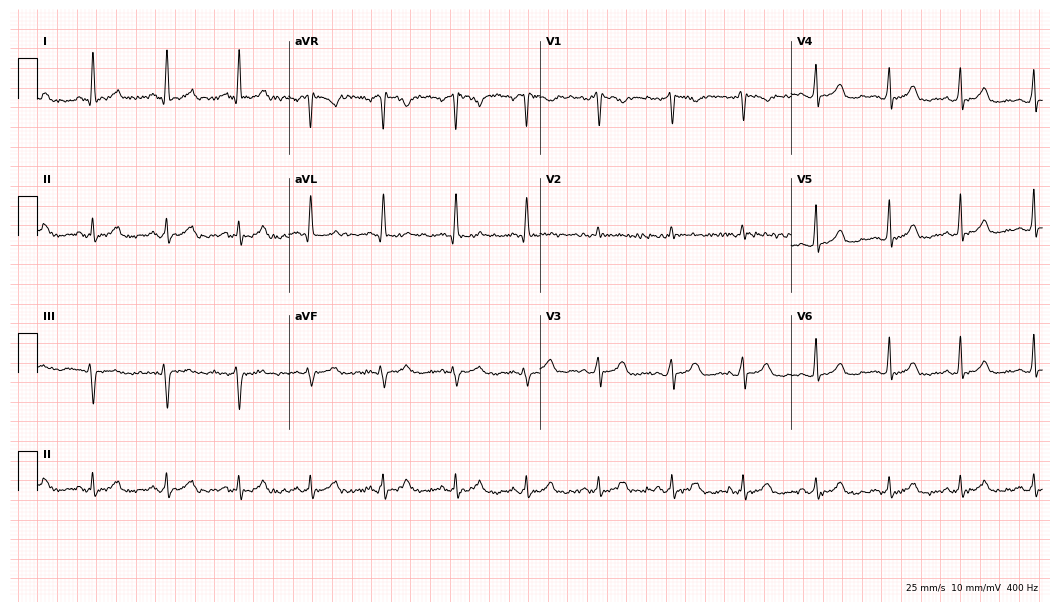
Standard 12-lead ECG recorded from a woman, 43 years old (10.2-second recording at 400 Hz). Read as a normal ECG.